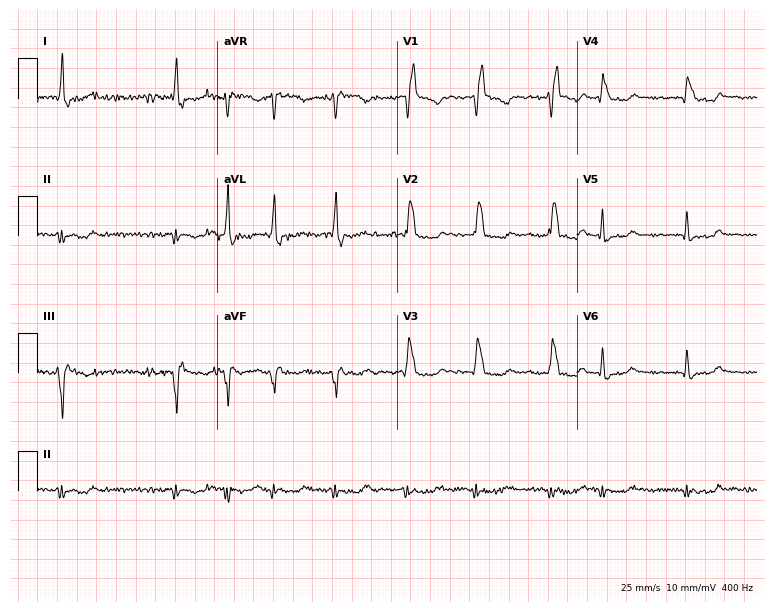
Standard 12-lead ECG recorded from a 73-year-old male patient. None of these six findings is recorded: first-degree AV block, right bundle branch block, left bundle branch block, sinus bradycardia, atrial fibrillation, sinus tachycardia. Other findings, if any, are not listed.